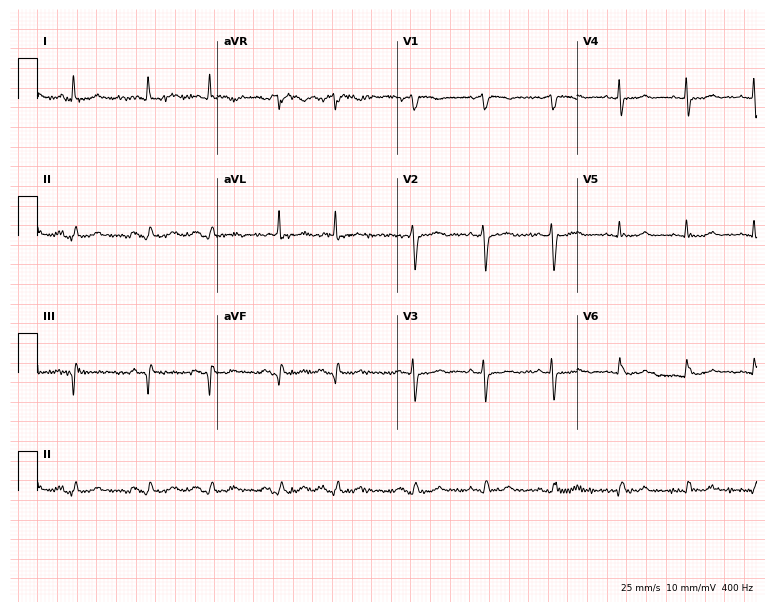
Standard 12-lead ECG recorded from a woman, 81 years old (7.3-second recording at 400 Hz). None of these six findings is recorded: first-degree AV block, right bundle branch block, left bundle branch block, sinus bradycardia, atrial fibrillation, sinus tachycardia.